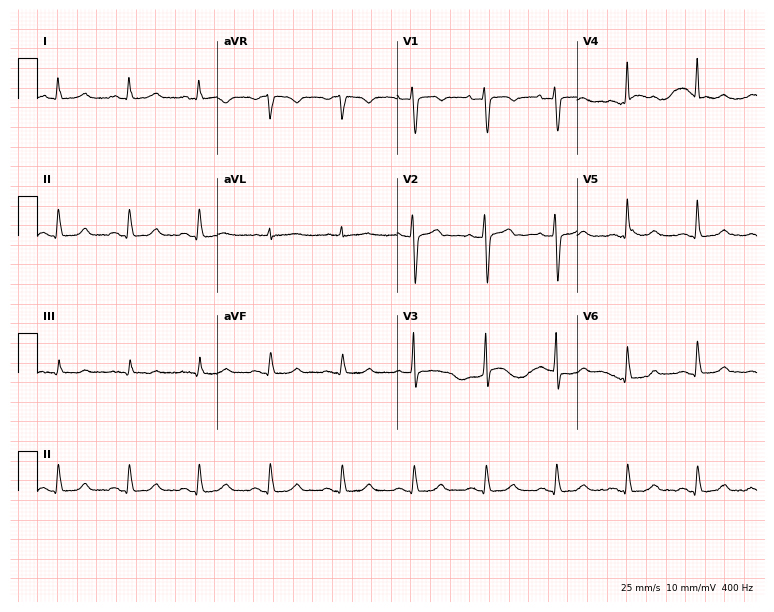
12-lead ECG from a 49-year-old female patient. Recorded interpretation: within normal limits.